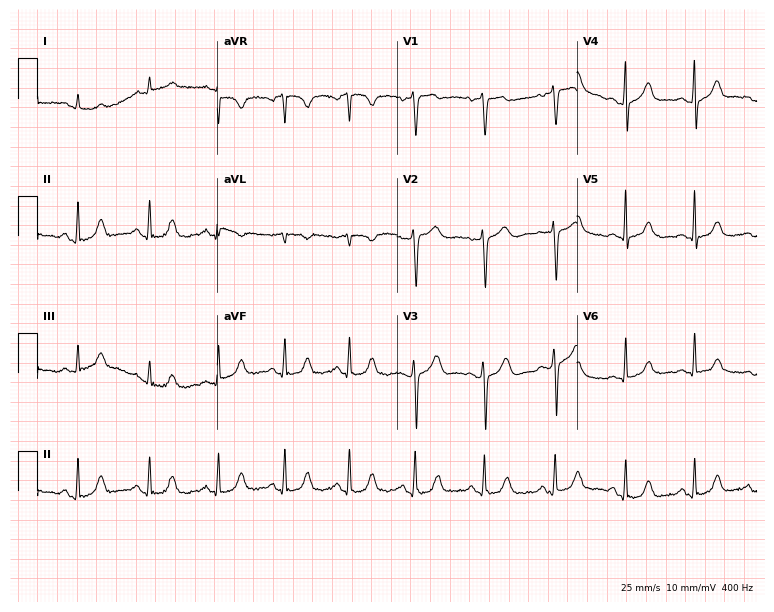
ECG — a 50-year-old female patient. Labelled as a normal ECG.